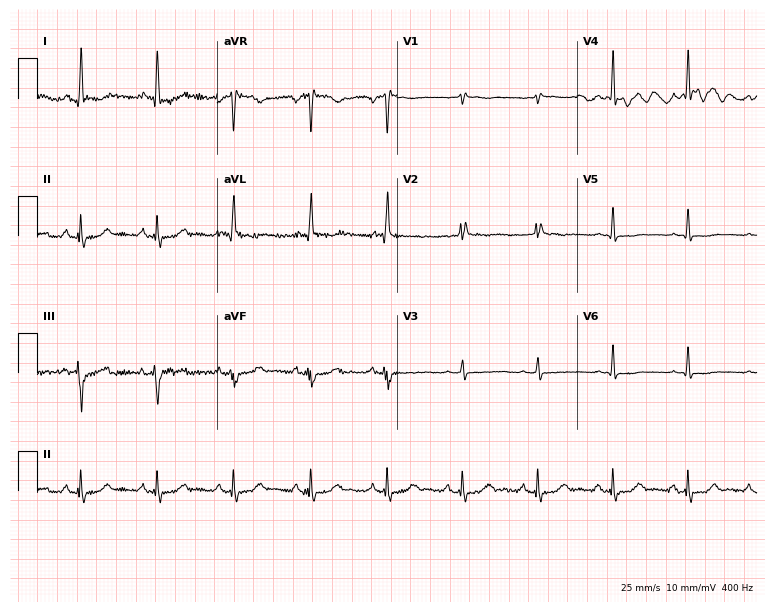
12-lead ECG from a female patient, 60 years old (7.3-second recording at 400 Hz). No first-degree AV block, right bundle branch block, left bundle branch block, sinus bradycardia, atrial fibrillation or sinus tachycardia recorded for this tracing.